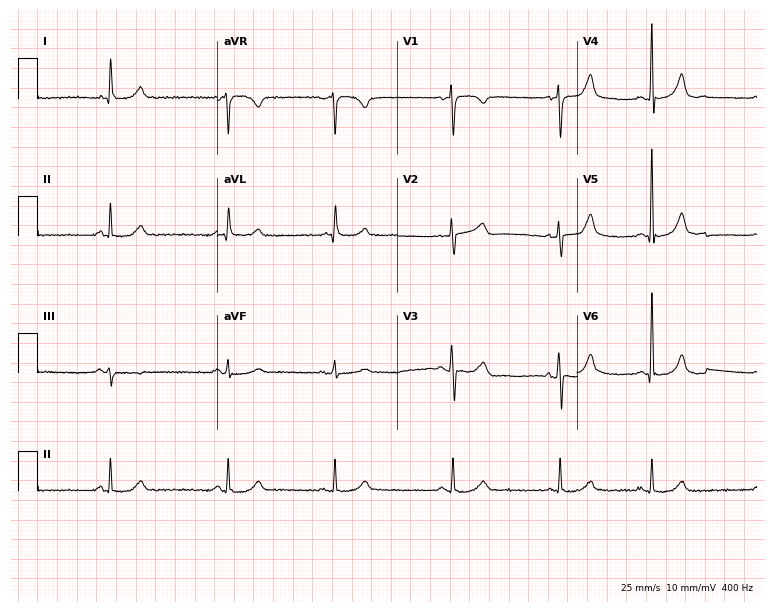
12-lead ECG (7.3-second recording at 400 Hz) from an 80-year-old female. Screened for six findings — first-degree AV block, right bundle branch block, left bundle branch block, sinus bradycardia, atrial fibrillation, sinus tachycardia — none is recorded.